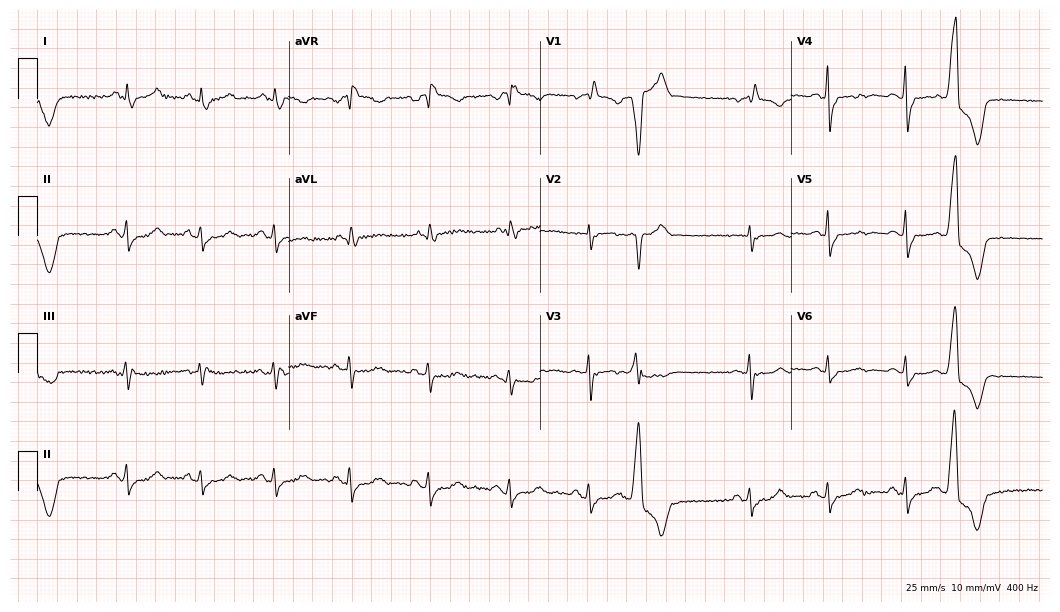
ECG (10.2-second recording at 400 Hz) — a female patient, 68 years old. Findings include right bundle branch block.